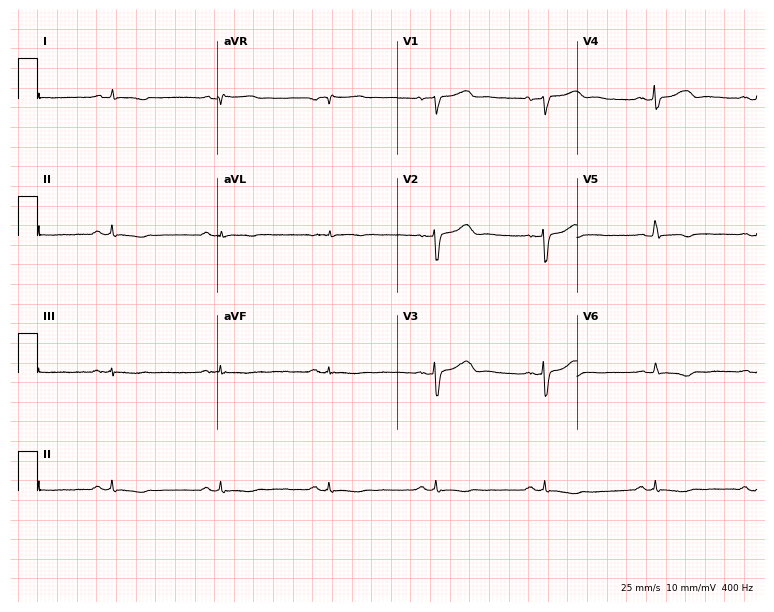
Standard 12-lead ECG recorded from a 53-year-old male. None of these six findings is recorded: first-degree AV block, right bundle branch block, left bundle branch block, sinus bradycardia, atrial fibrillation, sinus tachycardia. Other findings, if any, are not listed.